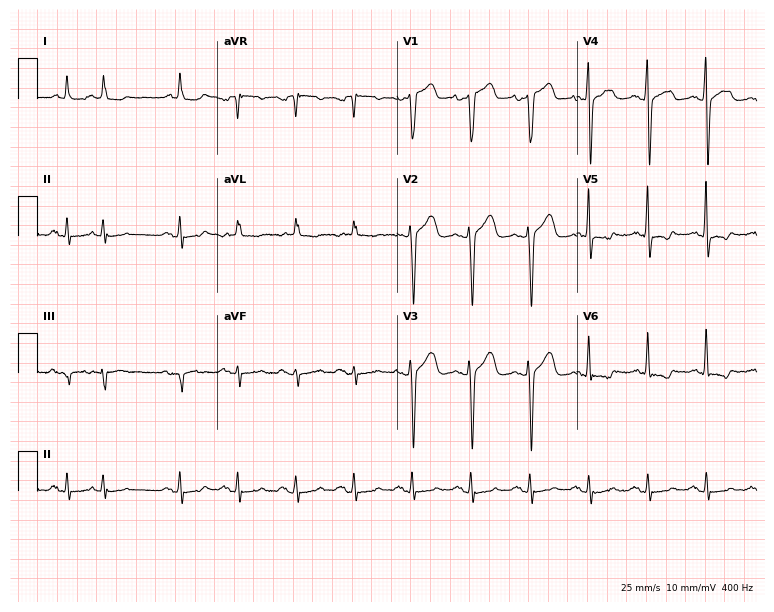
Standard 12-lead ECG recorded from a male, 74 years old. Read as a normal ECG.